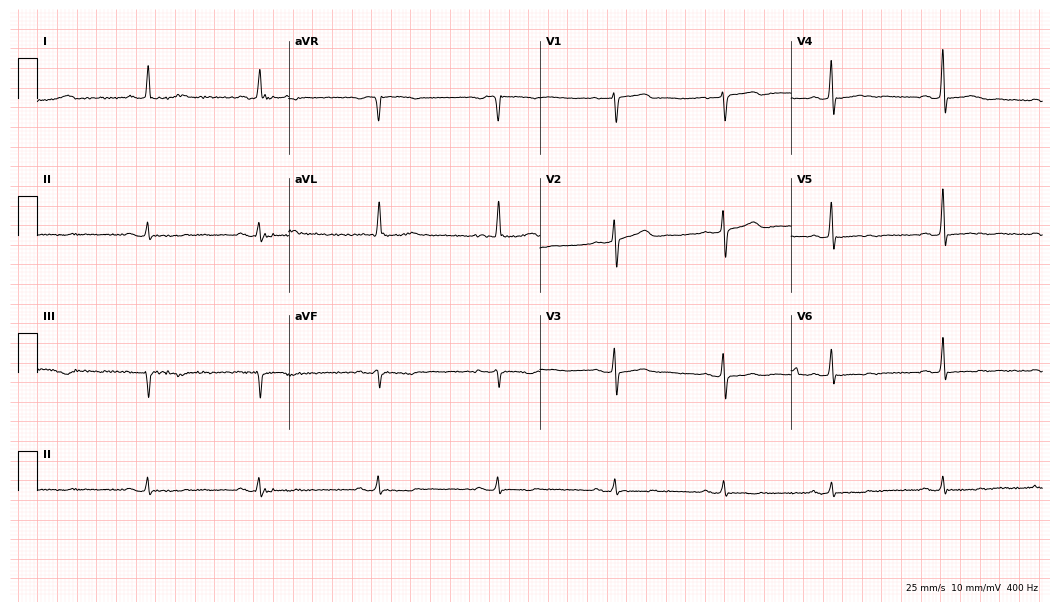
Resting 12-lead electrocardiogram (10.2-second recording at 400 Hz). Patient: a 61-year-old female. None of these six findings is recorded: first-degree AV block, right bundle branch block, left bundle branch block, sinus bradycardia, atrial fibrillation, sinus tachycardia.